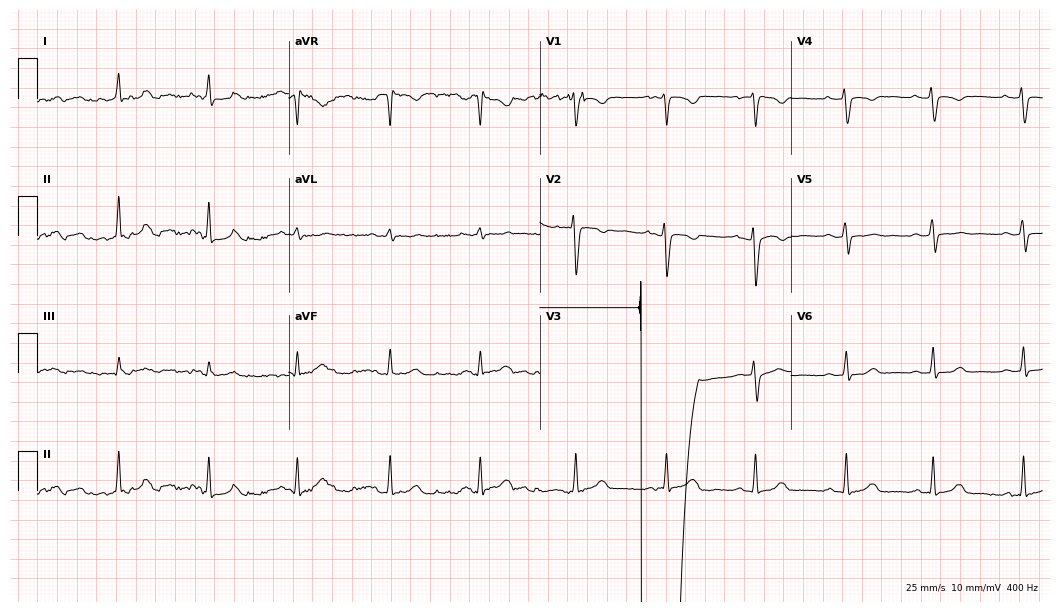
ECG (10.2-second recording at 400 Hz) — a female patient, 33 years old. Screened for six findings — first-degree AV block, right bundle branch block, left bundle branch block, sinus bradycardia, atrial fibrillation, sinus tachycardia — none is recorded. Findings outside these six are not listed.